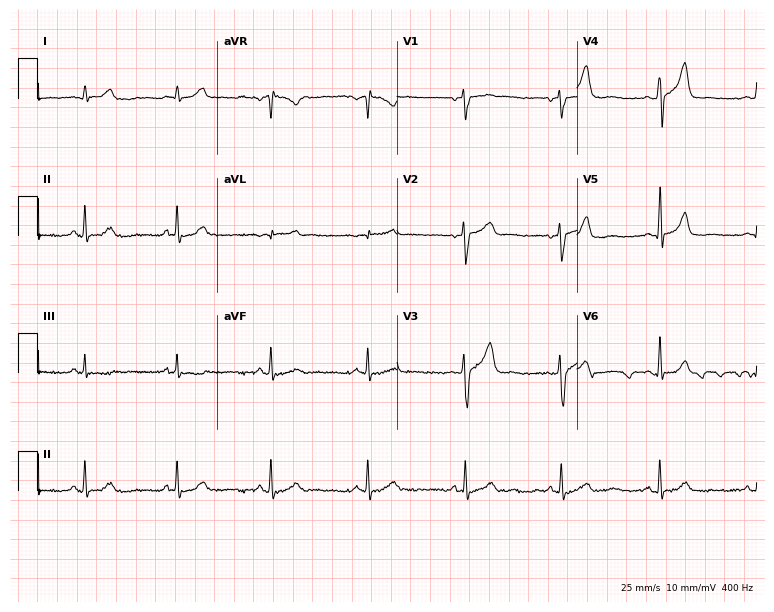
ECG (7.3-second recording at 400 Hz) — a male patient, 54 years old. Screened for six findings — first-degree AV block, right bundle branch block (RBBB), left bundle branch block (LBBB), sinus bradycardia, atrial fibrillation (AF), sinus tachycardia — none is recorded.